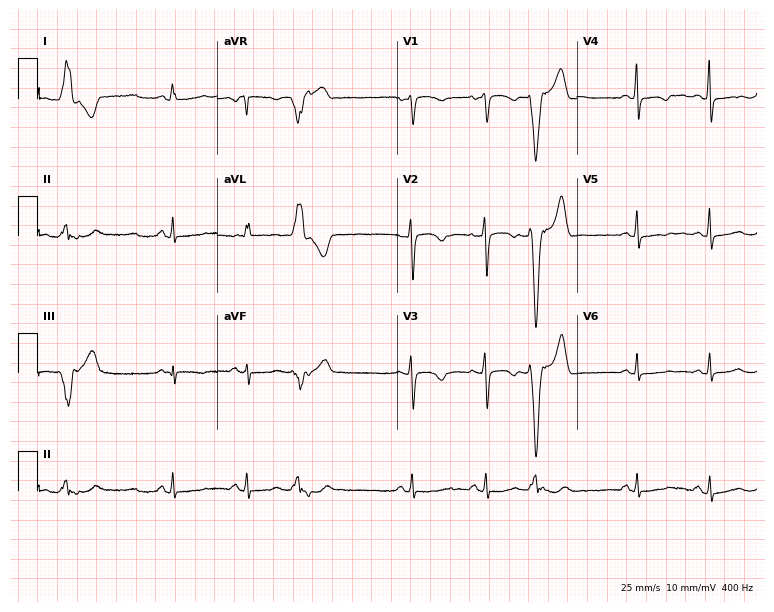
12-lead ECG from a female, 36 years old. Screened for six findings — first-degree AV block, right bundle branch block, left bundle branch block, sinus bradycardia, atrial fibrillation, sinus tachycardia — none is recorded. Other findings, if any, are not listed.